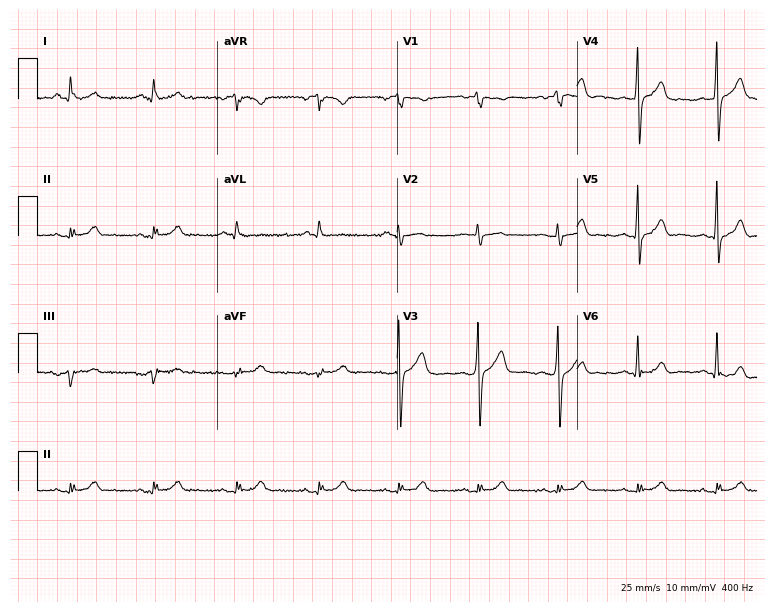
Standard 12-lead ECG recorded from a man, 77 years old. None of these six findings is recorded: first-degree AV block, right bundle branch block, left bundle branch block, sinus bradycardia, atrial fibrillation, sinus tachycardia. Only these six findings were labelled.